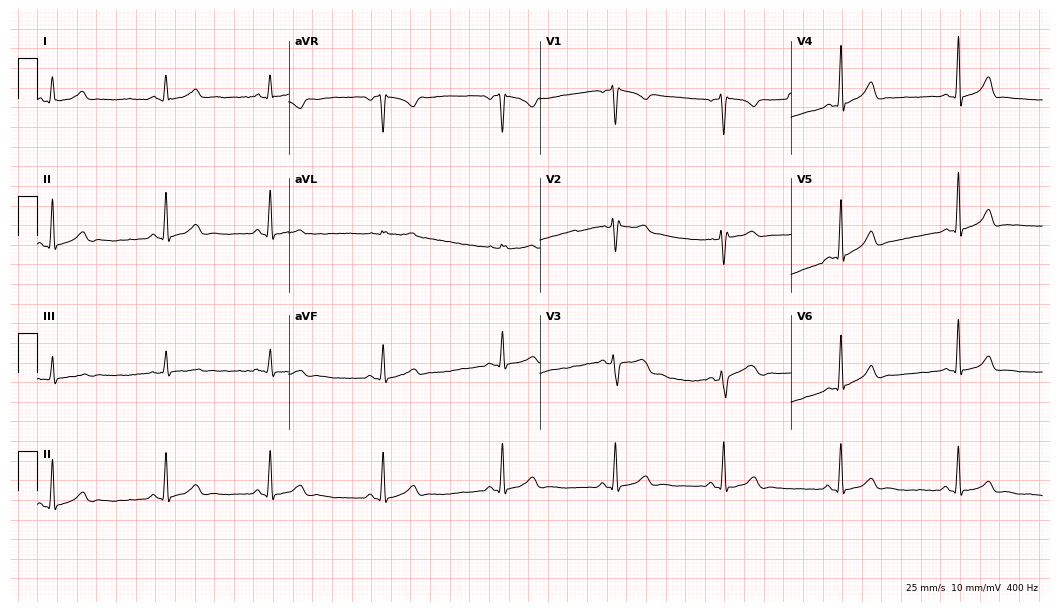
12-lead ECG from a female, 23 years old (10.2-second recording at 400 Hz). Recorded interpretation: within normal limits.